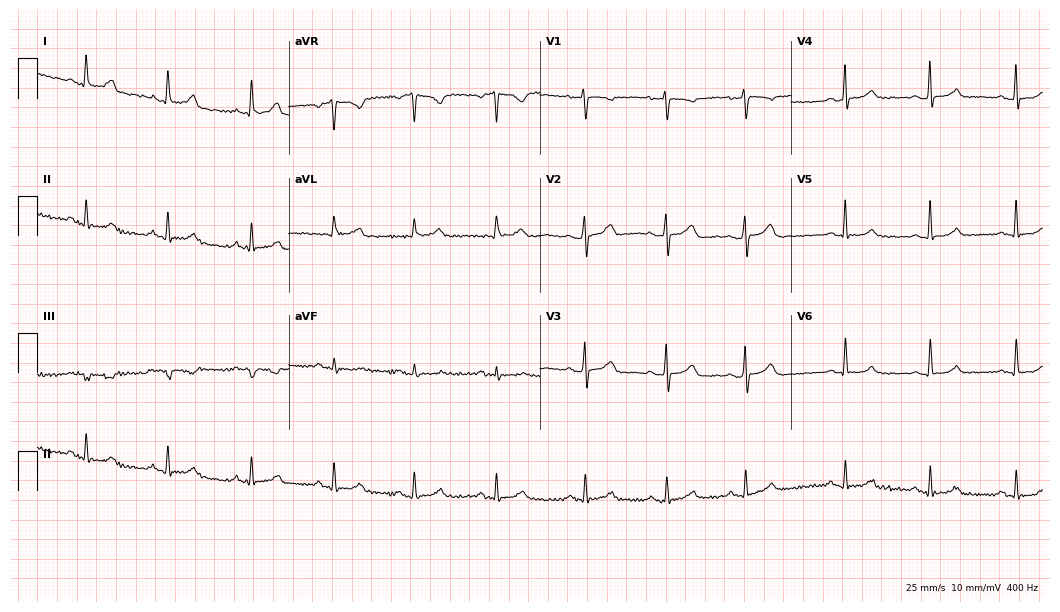
Resting 12-lead electrocardiogram. Patient: a 44-year-old female. Read as a normal ECG.